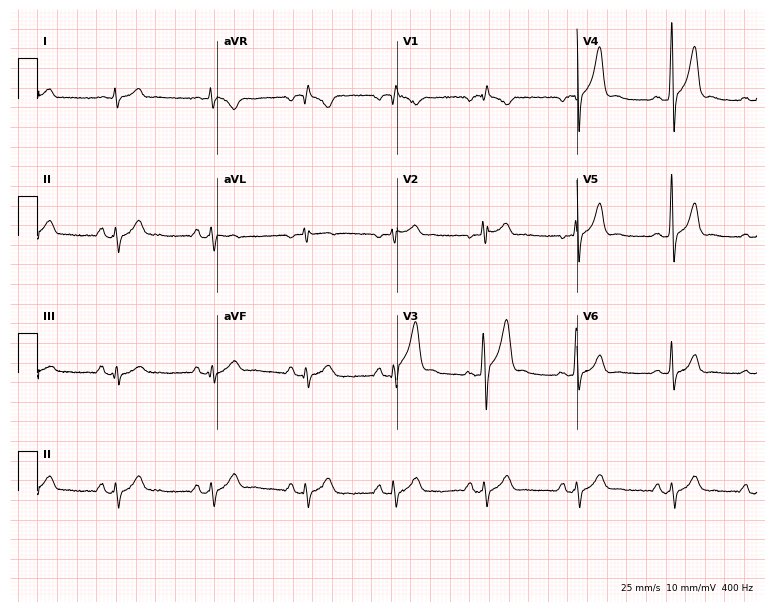
Resting 12-lead electrocardiogram. Patient: a 44-year-old male. None of these six findings is recorded: first-degree AV block, right bundle branch block, left bundle branch block, sinus bradycardia, atrial fibrillation, sinus tachycardia.